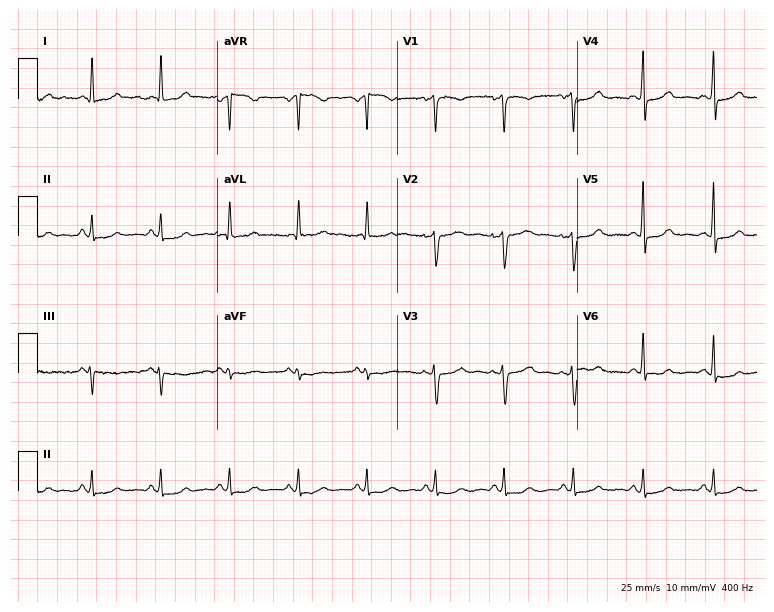
ECG (7.3-second recording at 400 Hz) — a female, 48 years old. Labelled as a normal ECG.